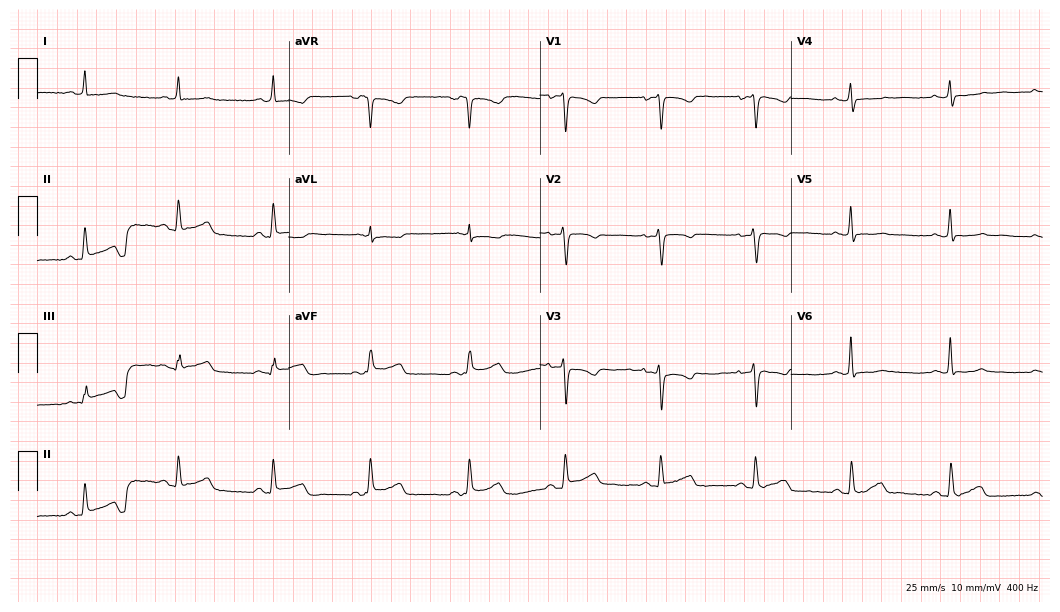
12-lead ECG from a female patient, 47 years old (10.2-second recording at 400 Hz). No first-degree AV block, right bundle branch block (RBBB), left bundle branch block (LBBB), sinus bradycardia, atrial fibrillation (AF) or sinus tachycardia recorded for this tracing. Other findings, if any, are not listed.